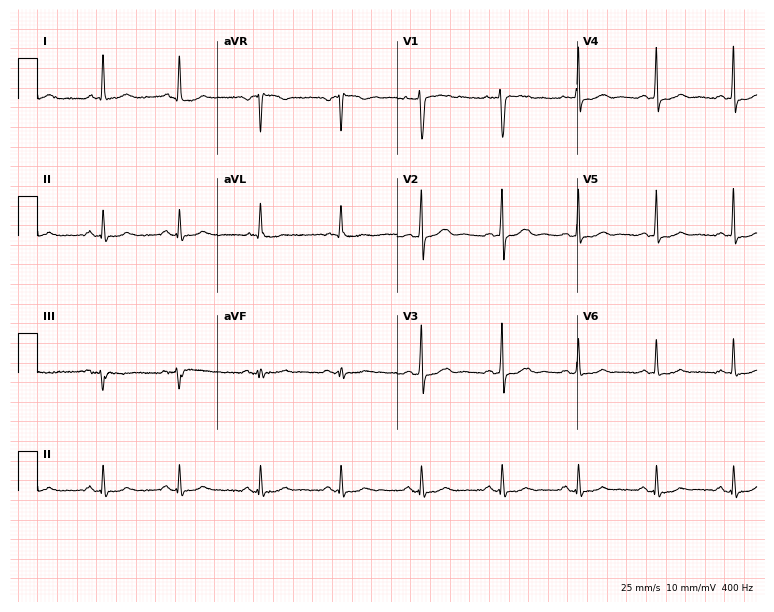
12-lead ECG (7.3-second recording at 400 Hz) from a 43-year-old male. Labelled as a normal ECG.